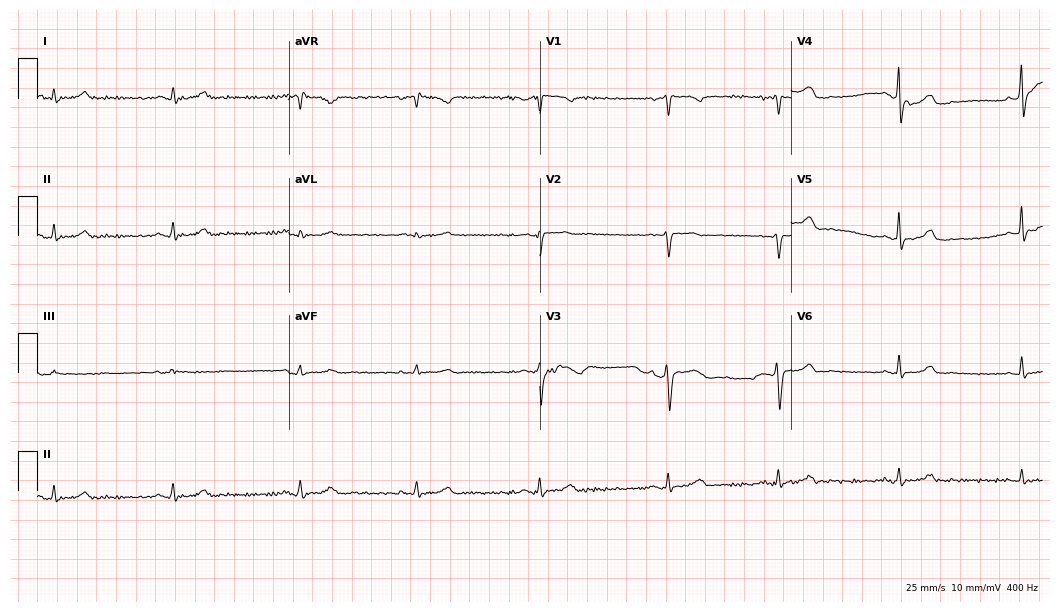
ECG (10.2-second recording at 400 Hz) — a female, 58 years old. Labelled as a normal ECG.